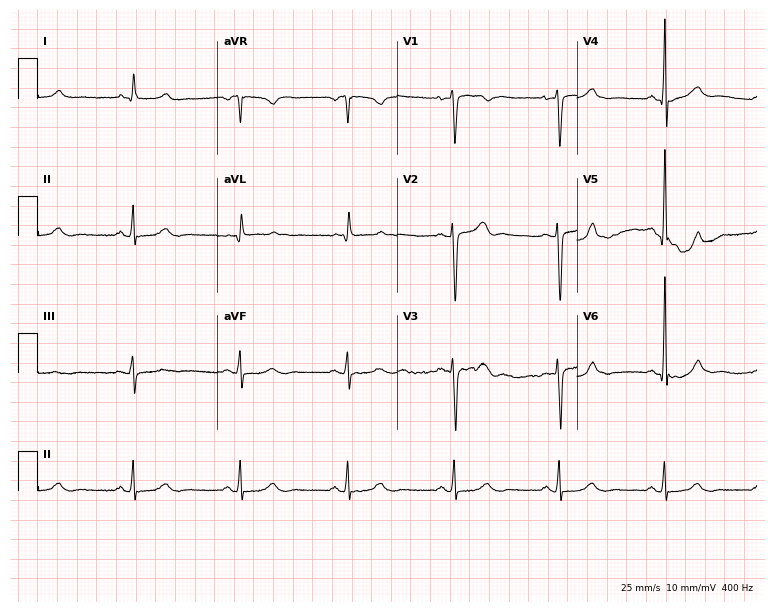
ECG (7.3-second recording at 400 Hz) — a male patient, 70 years old. Screened for six findings — first-degree AV block, right bundle branch block (RBBB), left bundle branch block (LBBB), sinus bradycardia, atrial fibrillation (AF), sinus tachycardia — none is recorded.